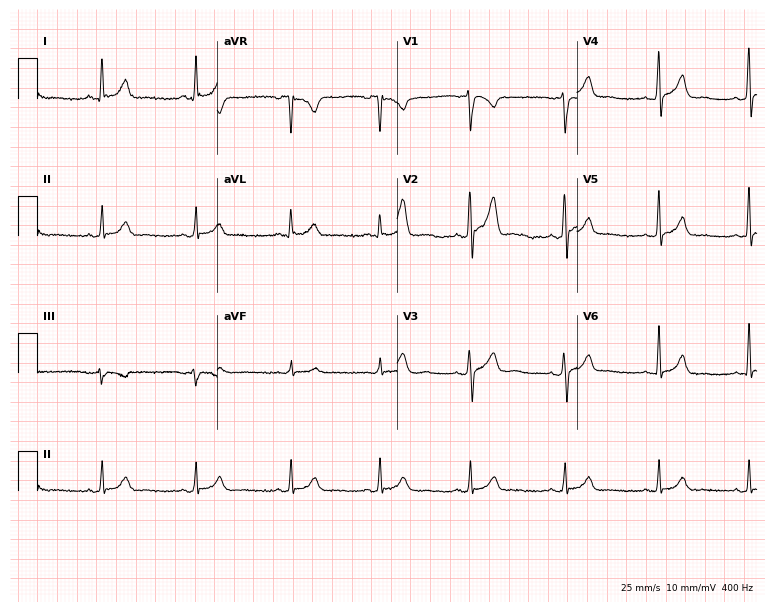
12-lead ECG from a 46-year-old female (7.3-second recording at 400 Hz). No first-degree AV block, right bundle branch block, left bundle branch block, sinus bradycardia, atrial fibrillation or sinus tachycardia recorded for this tracing.